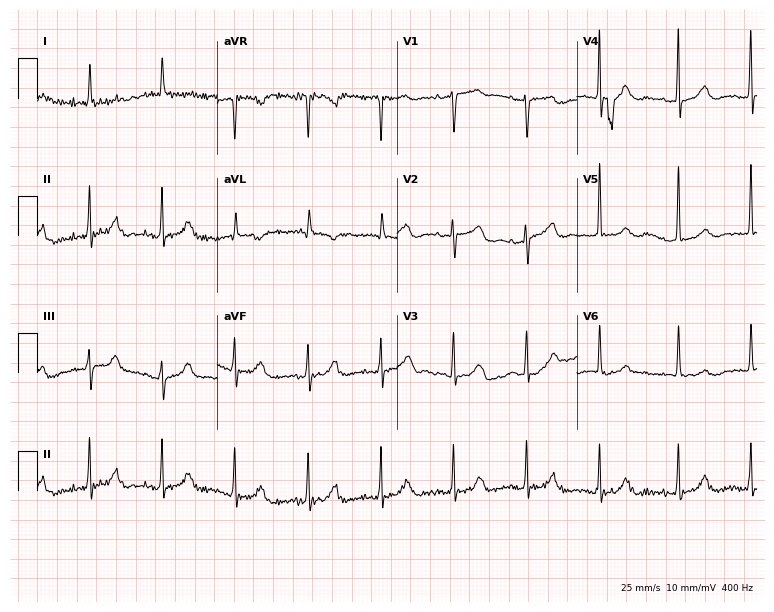
12-lead ECG from a female, 82 years old. No first-degree AV block, right bundle branch block, left bundle branch block, sinus bradycardia, atrial fibrillation or sinus tachycardia recorded for this tracing.